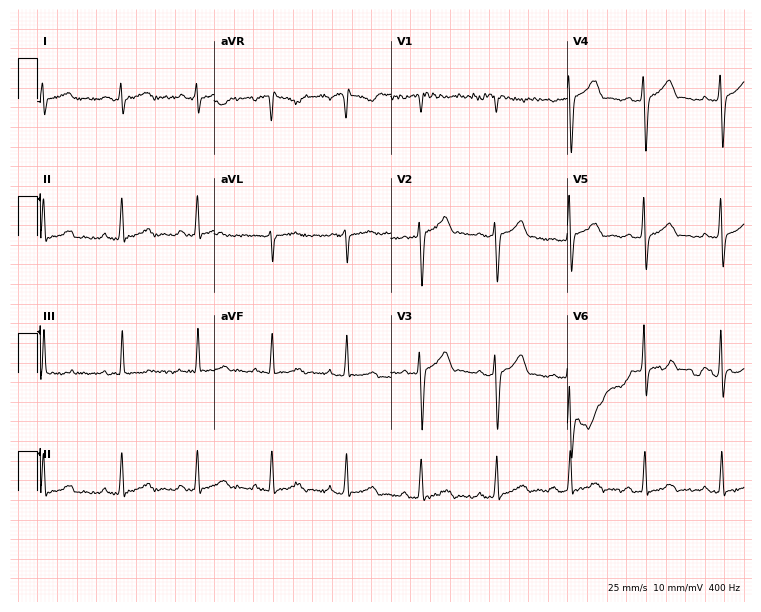
Electrocardiogram (7.2-second recording at 400 Hz), a 27-year-old woman. Overall reading on record: normal ECG.